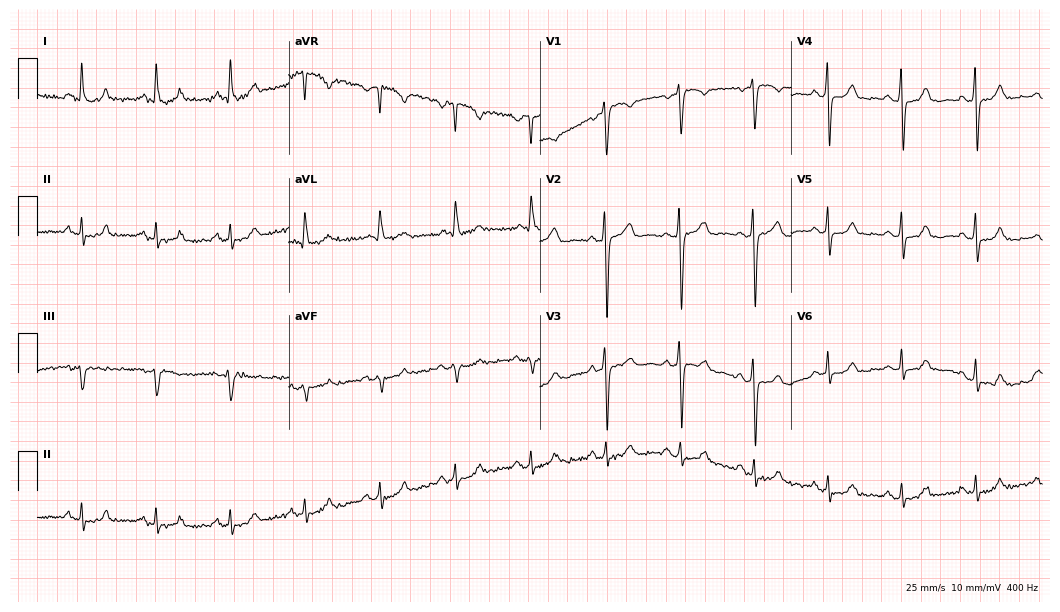
Standard 12-lead ECG recorded from a 67-year-old male. None of these six findings is recorded: first-degree AV block, right bundle branch block, left bundle branch block, sinus bradycardia, atrial fibrillation, sinus tachycardia.